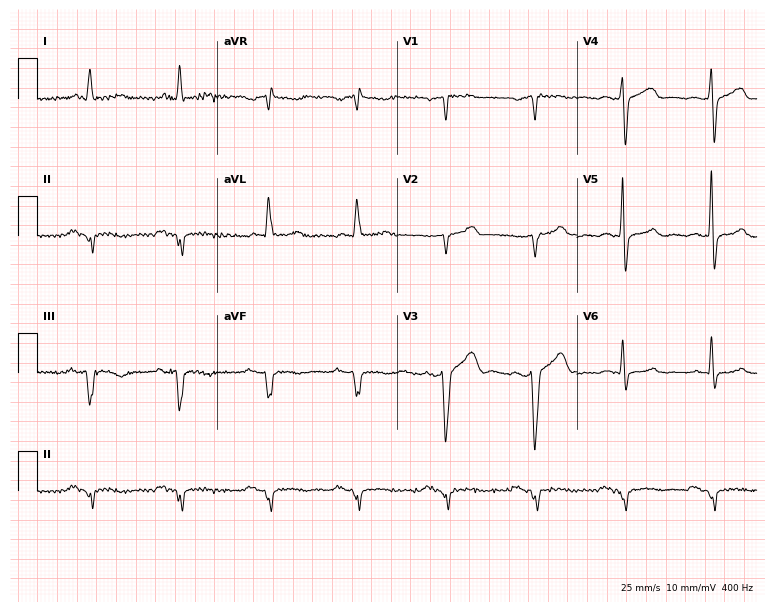
ECG (7.3-second recording at 400 Hz) — a 74-year-old male. Screened for six findings — first-degree AV block, right bundle branch block, left bundle branch block, sinus bradycardia, atrial fibrillation, sinus tachycardia — none is recorded.